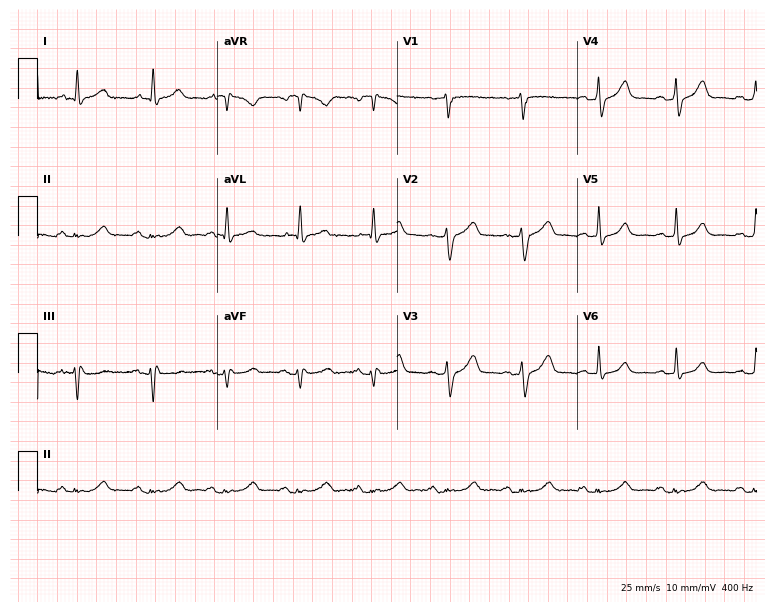
Standard 12-lead ECG recorded from a 77-year-old man. None of these six findings is recorded: first-degree AV block, right bundle branch block, left bundle branch block, sinus bradycardia, atrial fibrillation, sinus tachycardia.